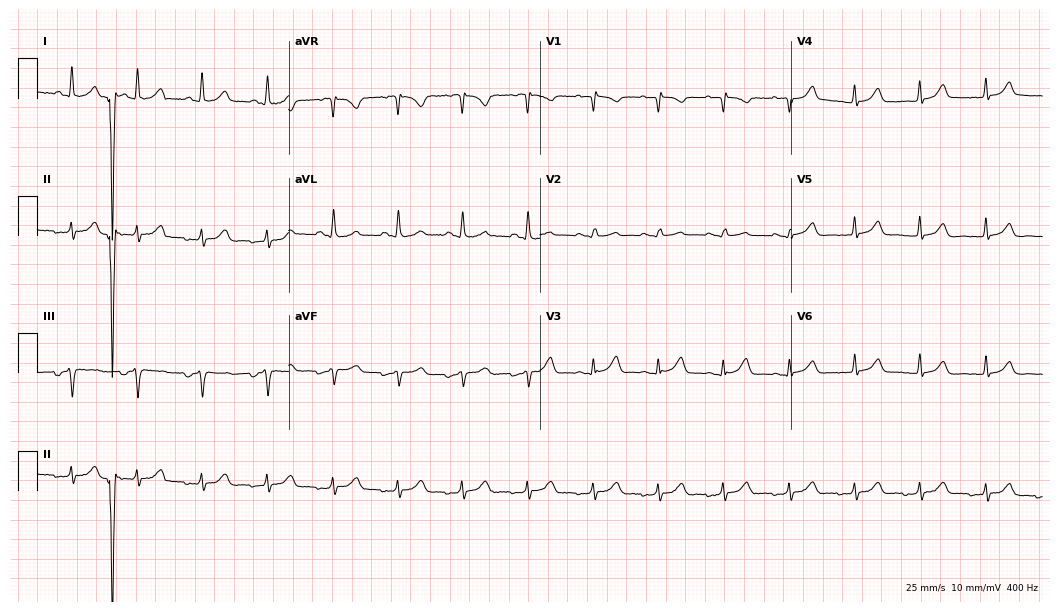
12-lead ECG from a 58-year-old female patient. No first-degree AV block, right bundle branch block, left bundle branch block, sinus bradycardia, atrial fibrillation or sinus tachycardia recorded for this tracing. Other findings, if any, are not listed.